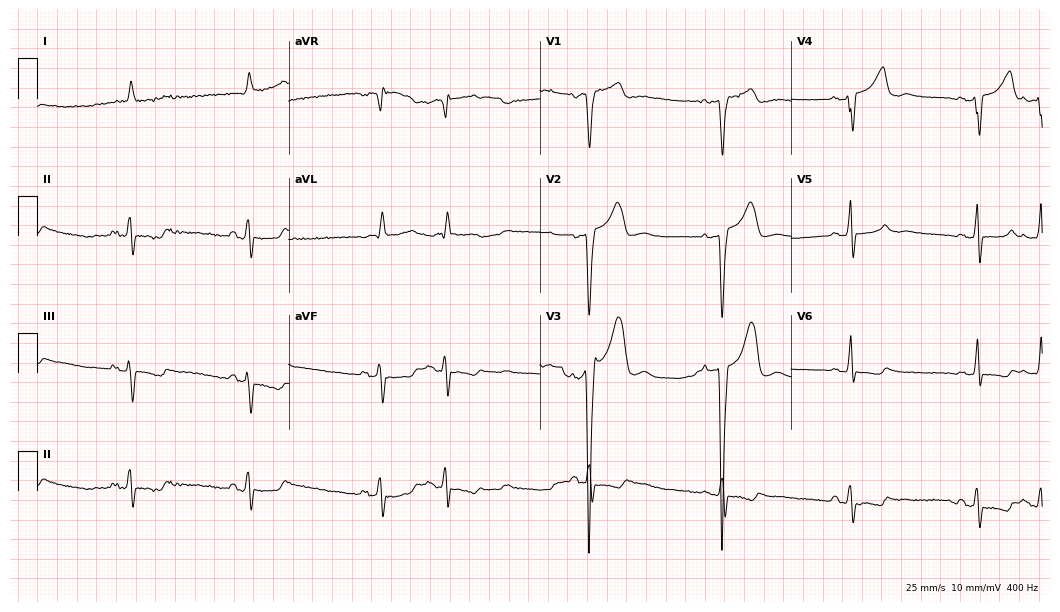
ECG — a man, 75 years old. Screened for six findings — first-degree AV block, right bundle branch block (RBBB), left bundle branch block (LBBB), sinus bradycardia, atrial fibrillation (AF), sinus tachycardia — none is recorded.